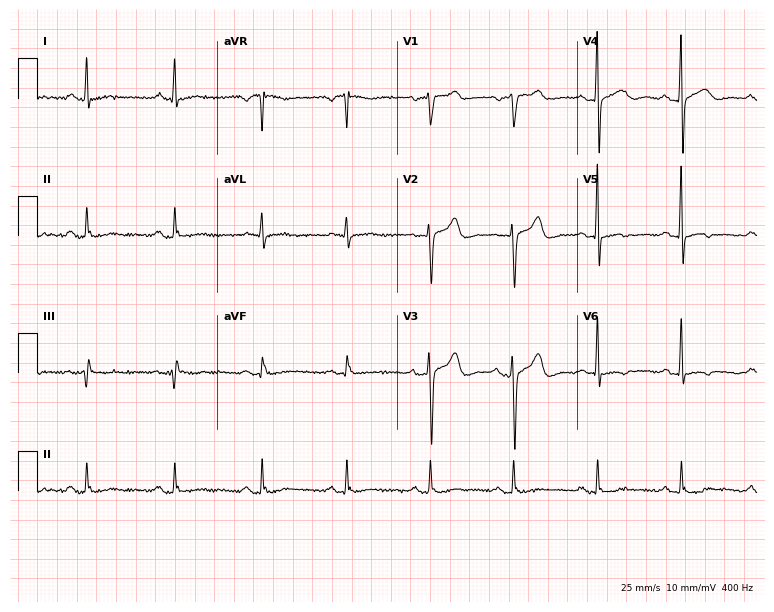
Electrocardiogram, a male patient, 63 years old. Of the six screened findings (first-degree AV block, right bundle branch block, left bundle branch block, sinus bradycardia, atrial fibrillation, sinus tachycardia), none is recorded.